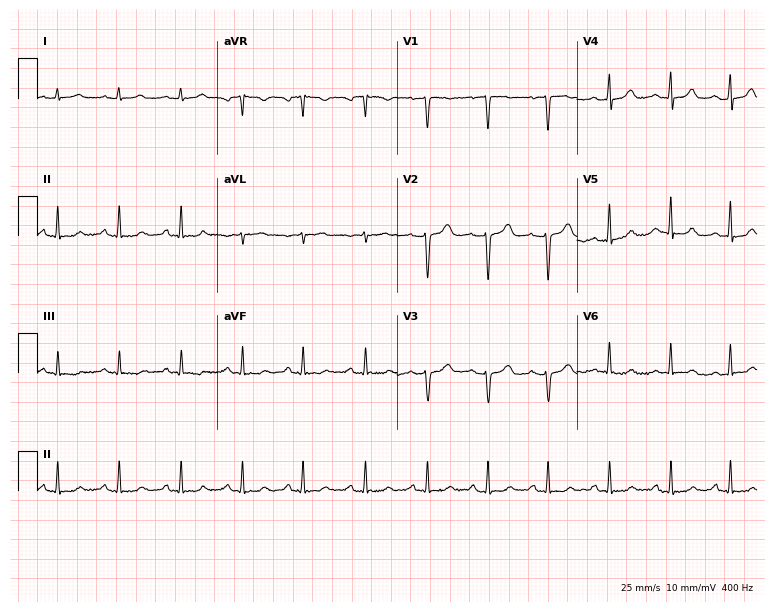
12-lead ECG from a female, 49 years old. Labelled as a normal ECG.